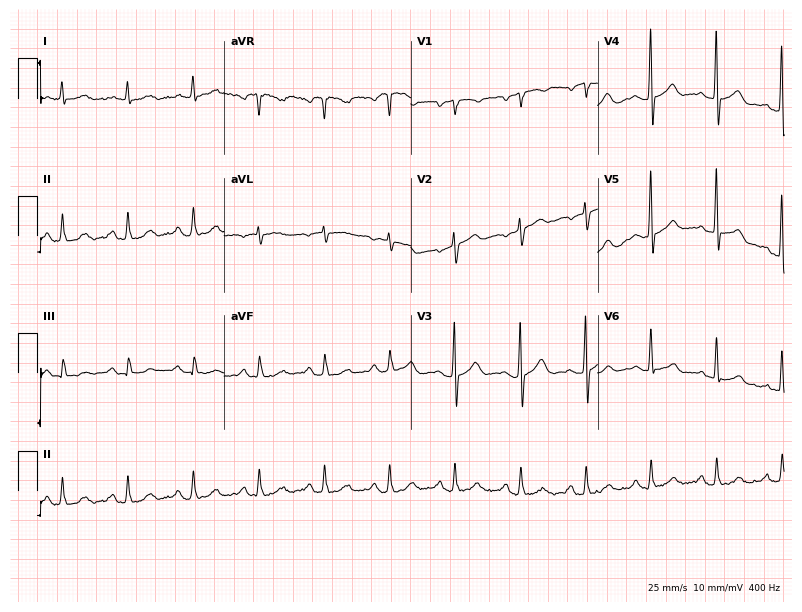
Standard 12-lead ECG recorded from a woman, 67 years old (7.6-second recording at 400 Hz). Read as a normal ECG.